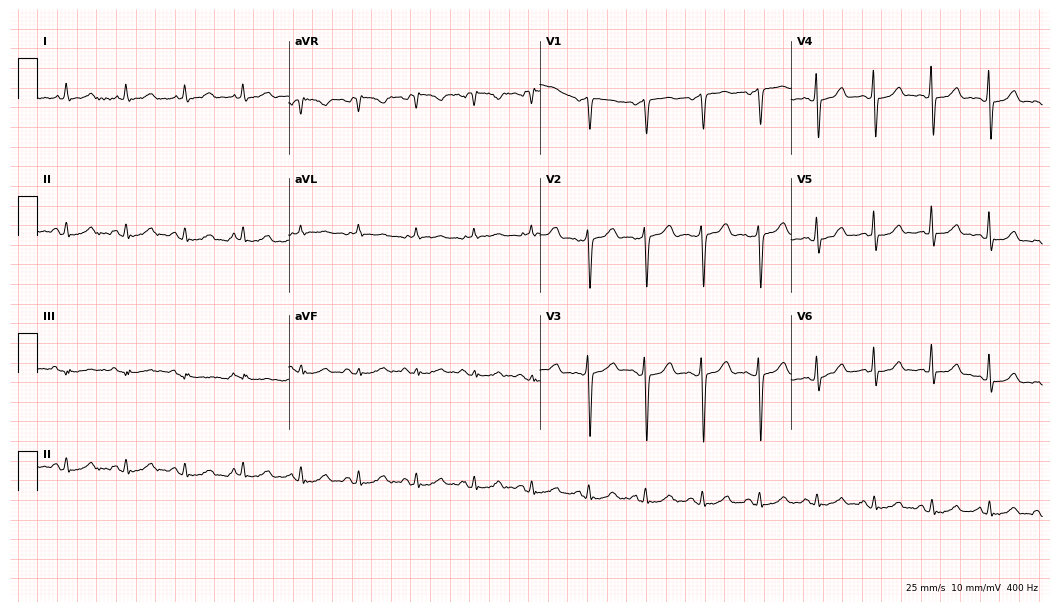
Standard 12-lead ECG recorded from a male patient, 59 years old. Read as a normal ECG.